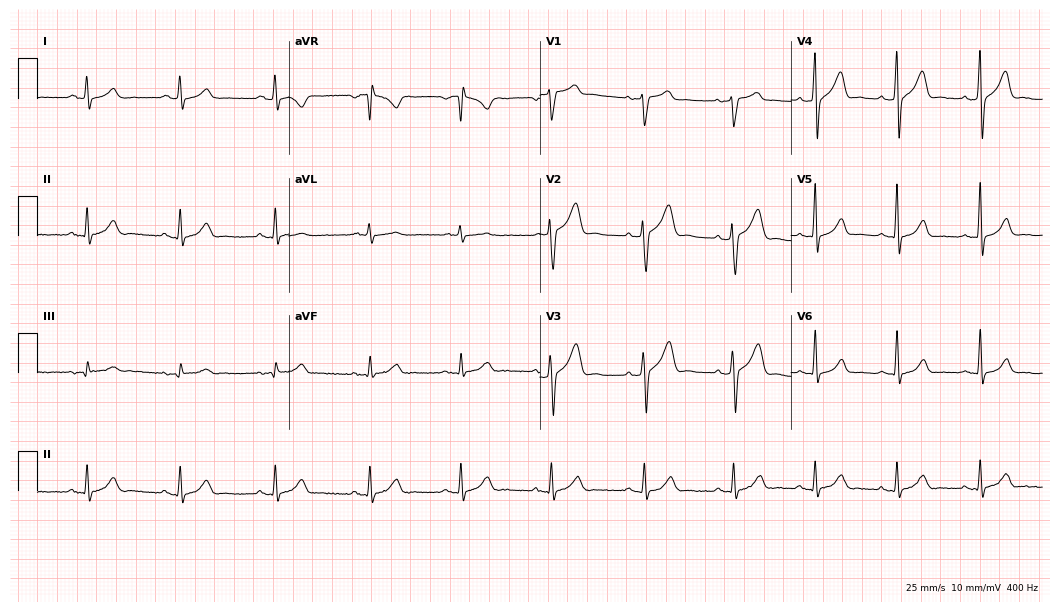
ECG (10.2-second recording at 400 Hz) — a 45-year-old male. Labelled as a normal ECG.